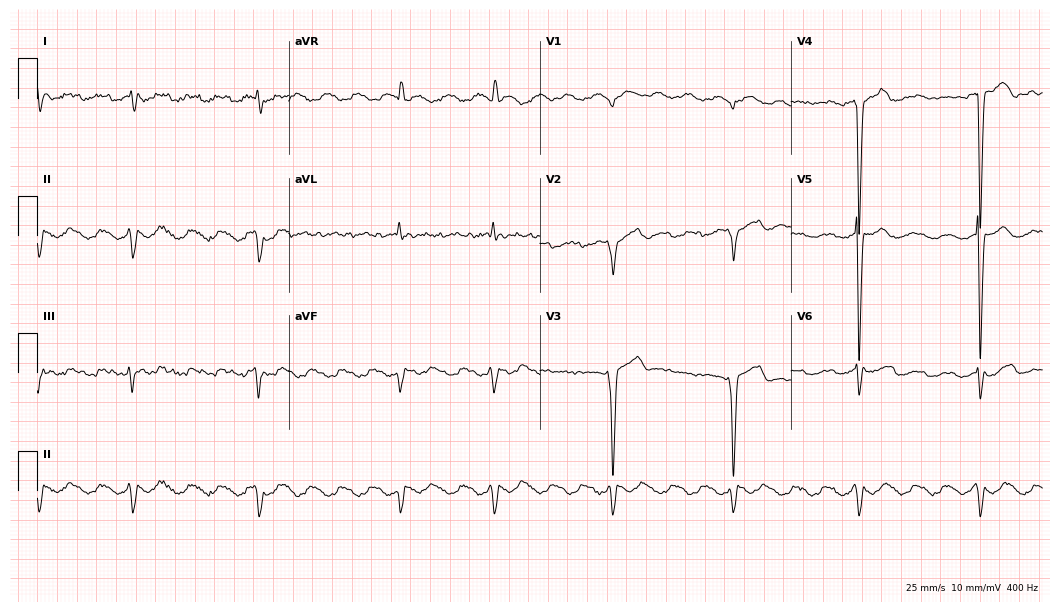
Resting 12-lead electrocardiogram (10.2-second recording at 400 Hz). Patient: a male, 52 years old. None of these six findings is recorded: first-degree AV block, right bundle branch block, left bundle branch block, sinus bradycardia, atrial fibrillation, sinus tachycardia. Findings outside these six are not listed.